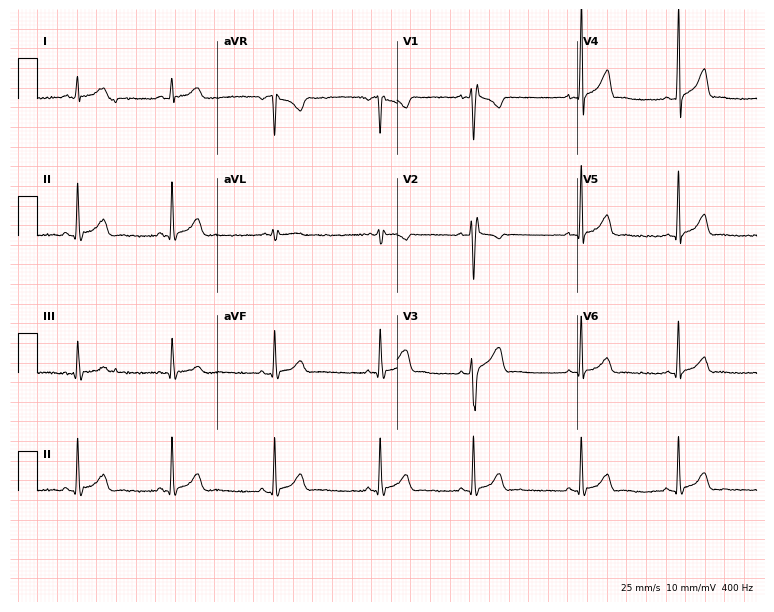
Resting 12-lead electrocardiogram (7.3-second recording at 400 Hz). Patient: a male, 21 years old. Read as a normal ECG.